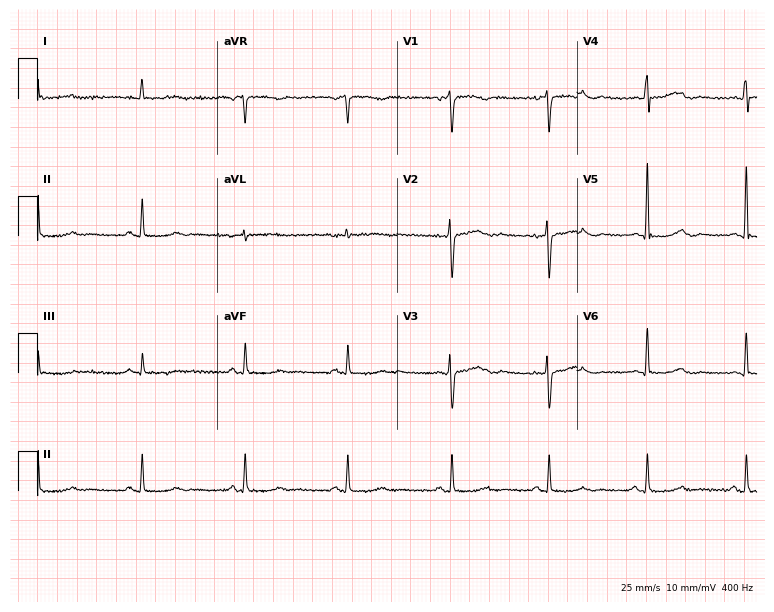
12-lead ECG from a 45-year-old female. Screened for six findings — first-degree AV block, right bundle branch block, left bundle branch block, sinus bradycardia, atrial fibrillation, sinus tachycardia — none is recorded. Only these six findings were labelled.